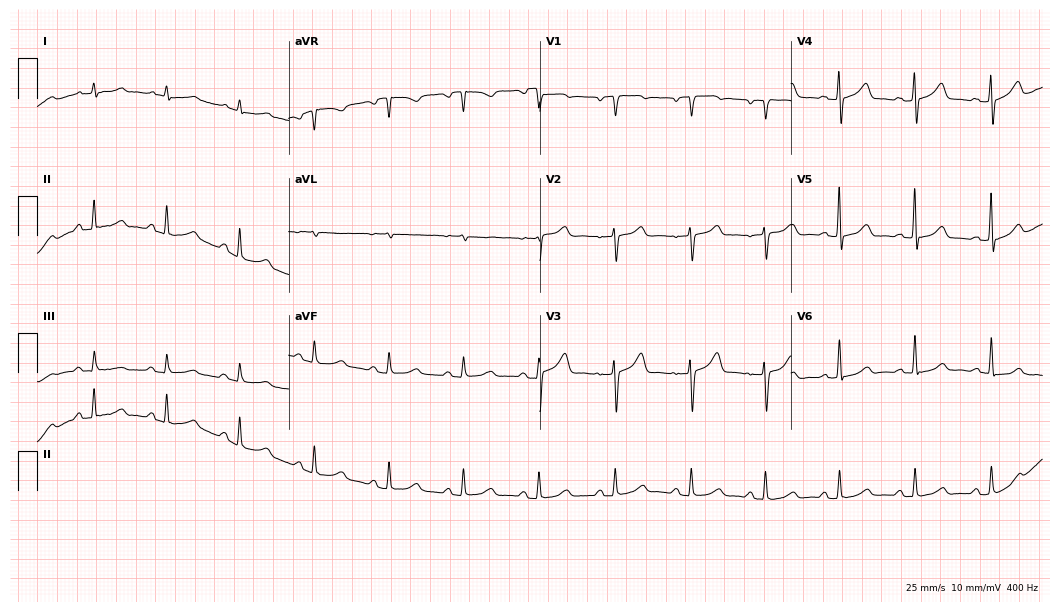
12-lead ECG from a female patient, 59 years old. Labelled as a normal ECG.